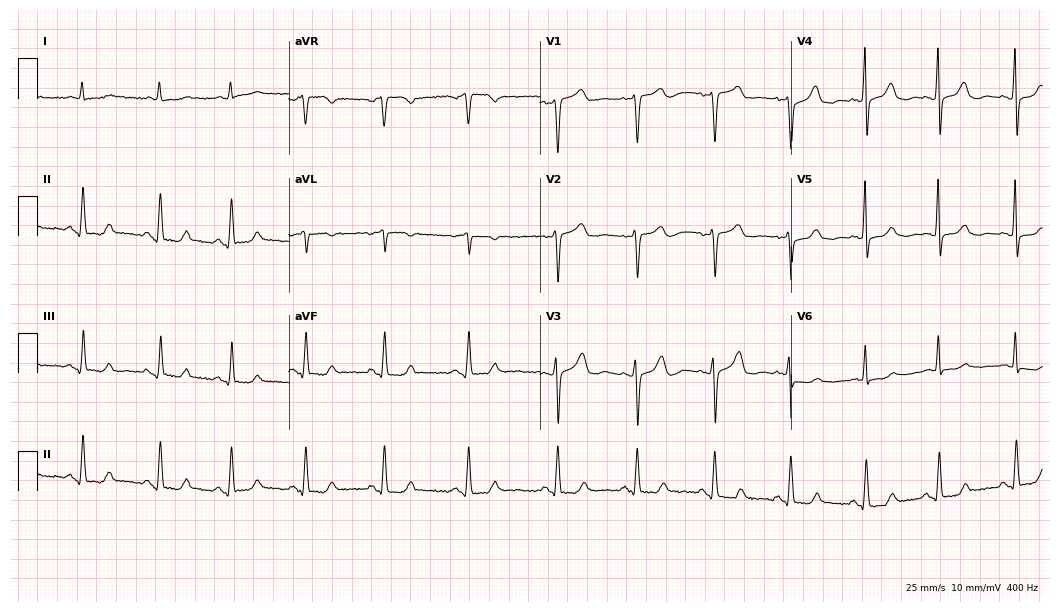
Electrocardiogram, a female, 80 years old. Of the six screened findings (first-degree AV block, right bundle branch block, left bundle branch block, sinus bradycardia, atrial fibrillation, sinus tachycardia), none is recorded. Only these six findings were labelled.